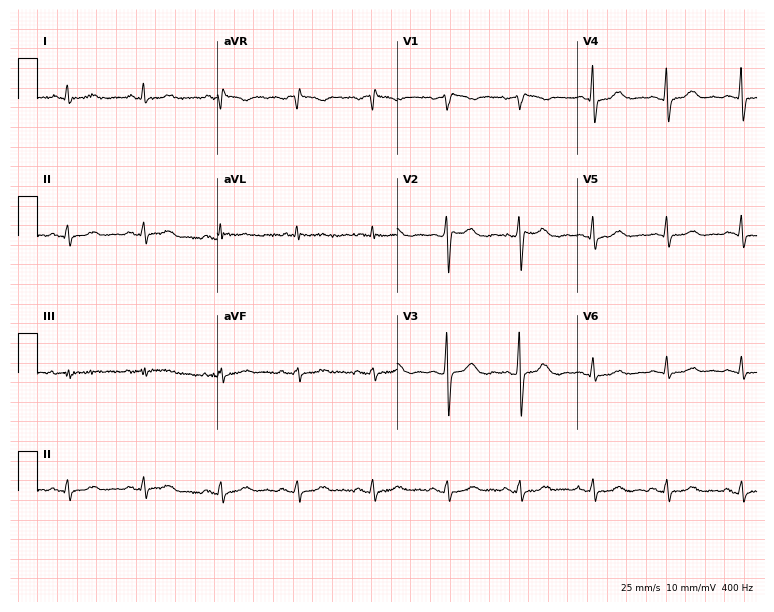
Resting 12-lead electrocardiogram (7.3-second recording at 400 Hz). Patient: a 60-year-old female. None of these six findings is recorded: first-degree AV block, right bundle branch block, left bundle branch block, sinus bradycardia, atrial fibrillation, sinus tachycardia.